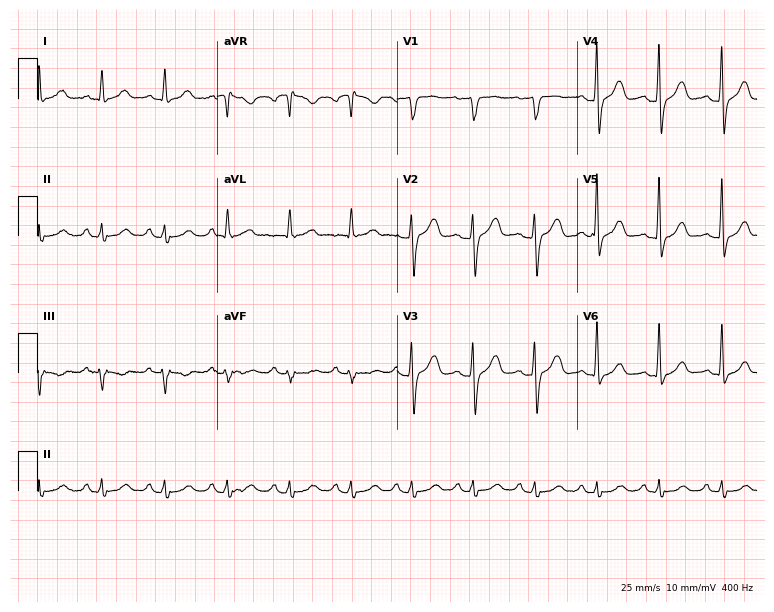
ECG — a 74-year-old man. Labelled as a normal ECG.